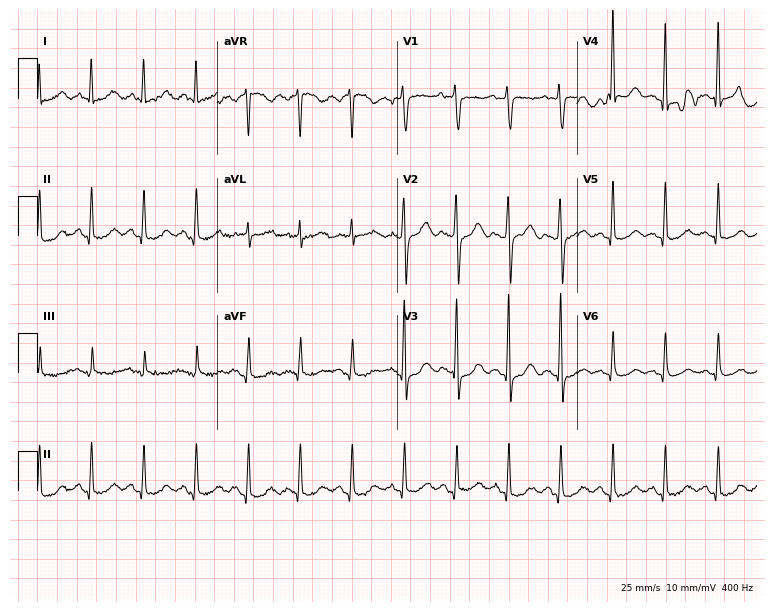
Resting 12-lead electrocardiogram. Patient: a female, 67 years old. The tracing shows sinus tachycardia (a sinus rate of 100 beats per minute or more).